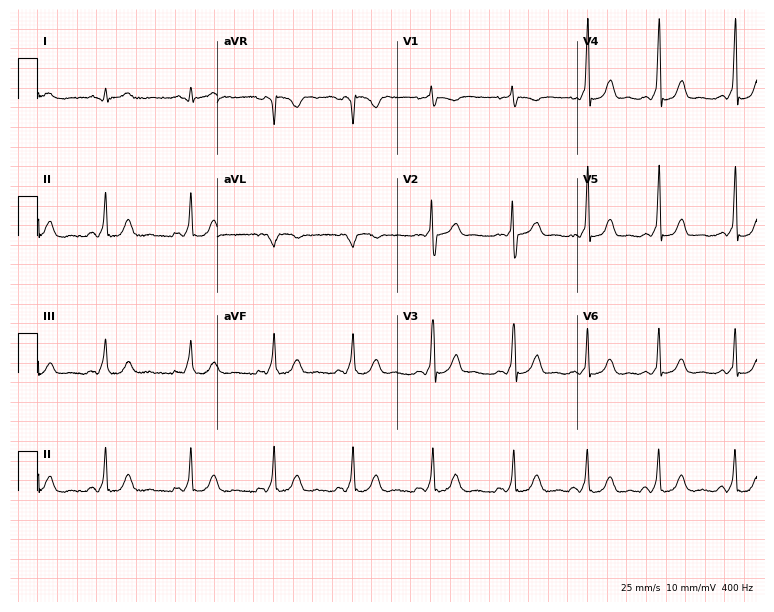
Standard 12-lead ECG recorded from a female patient, 26 years old. None of these six findings is recorded: first-degree AV block, right bundle branch block, left bundle branch block, sinus bradycardia, atrial fibrillation, sinus tachycardia. Findings outside these six are not listed.